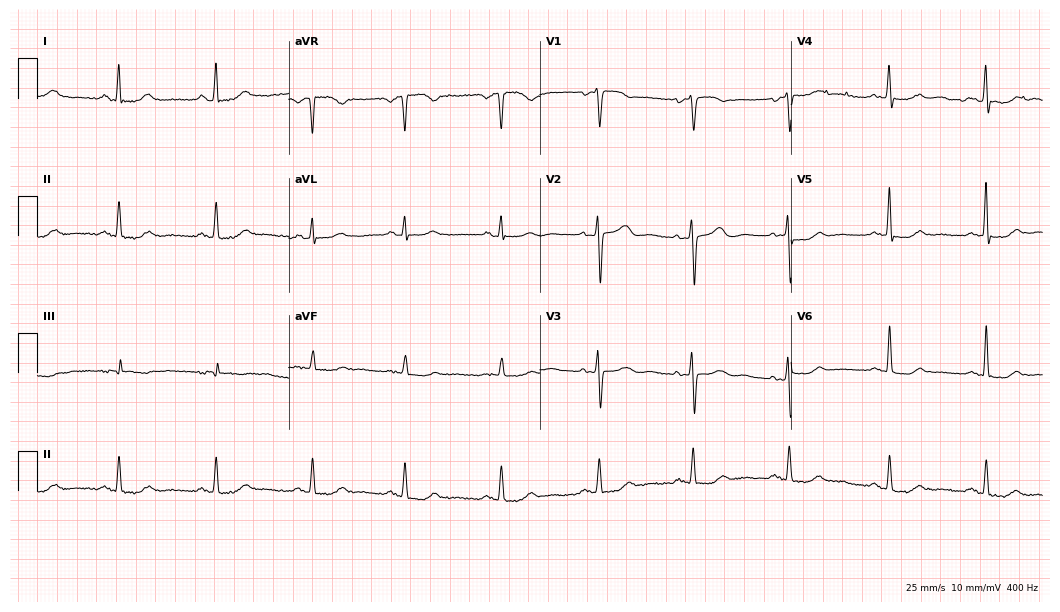
Electrocardiogram (10.2-second recording at 400 Hz), a 56-year-old female patient. Of the six screened findings (first-degree AV block, right bundle branch block, left bundle branch block, sinus bradycardia, atrial fibrillation, sinus tachycardia), none is recorded.